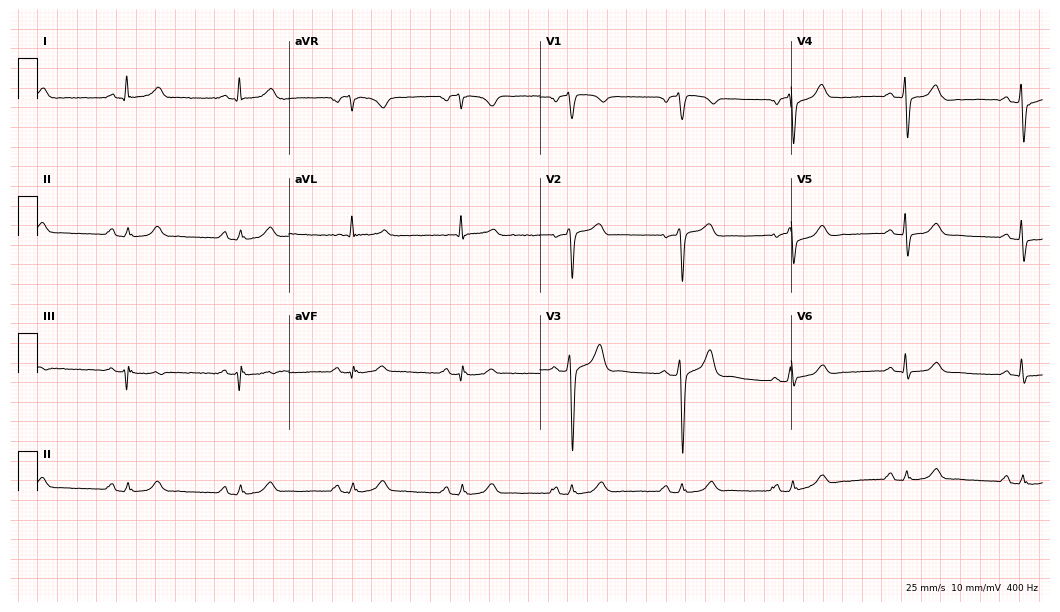
12-lead ECG from a 64-year-old male patient. Labelled as a normal ECG.